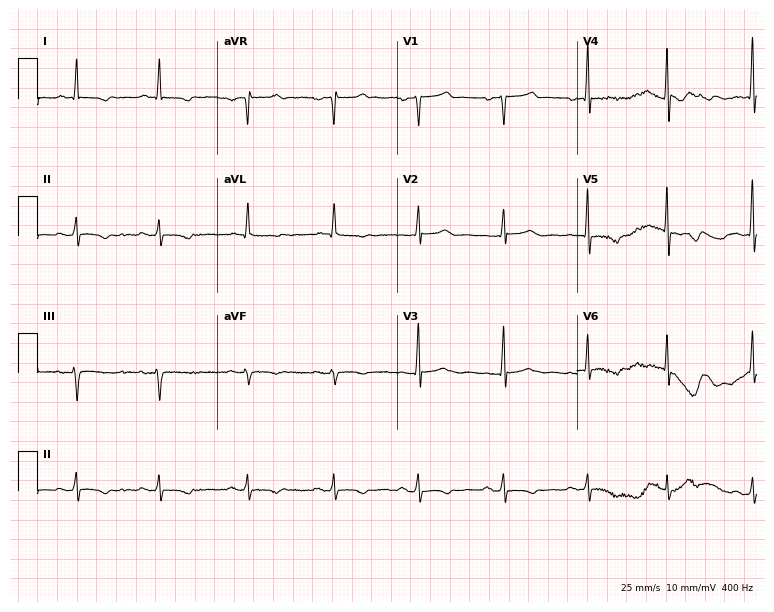
12-lead ECG (7.3-second recording at 400 Hz) from a woman, 70 years old. Screened for six findings — first-degree AV block, right bundle branch block (RBBB), left bundle branch block (LBBB), sinus bradycardia, atrial fibrillation (AF), sinus tachycardia — none is recorded. Only these six findings were labelled.